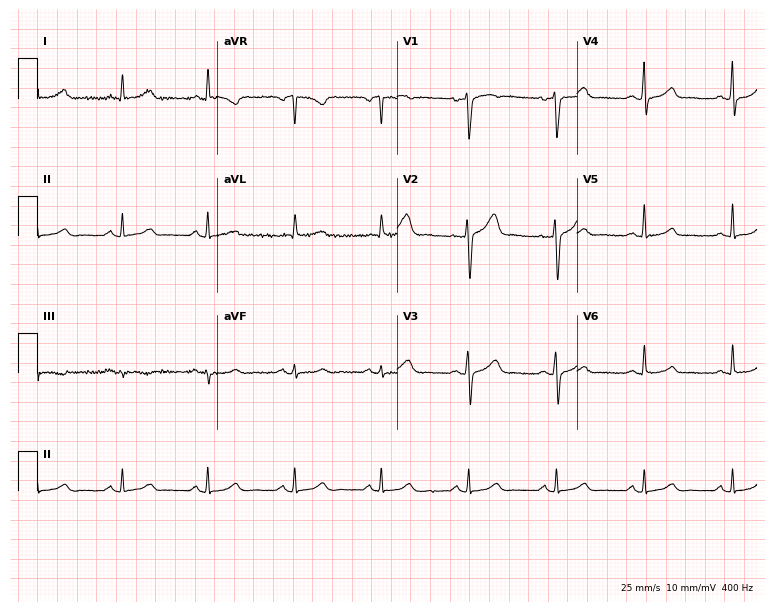
12-lead ECG (7.3-second recording at 400 Hz) from a male, 46 years old. Labelled as a normal ECG.